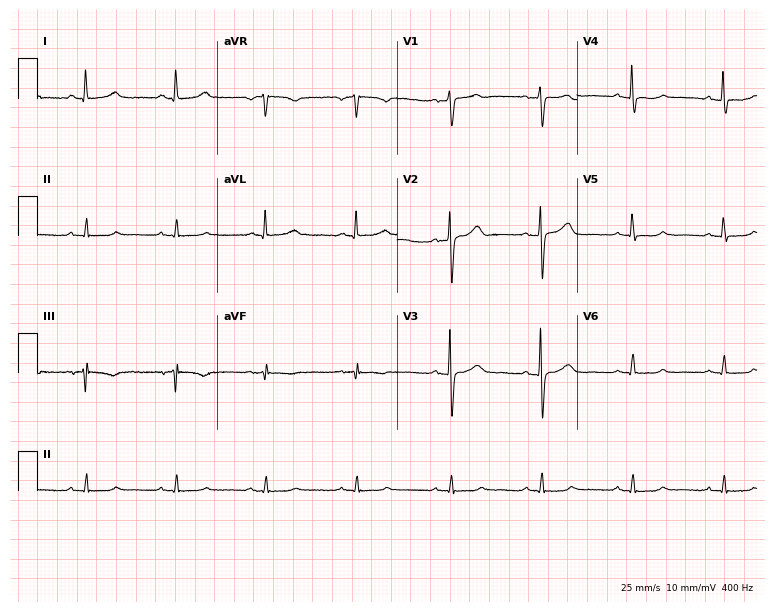
ECG (7.3-second recording at 400 Hz) — a woman, 58 years old. Labelled as a normal ECG.